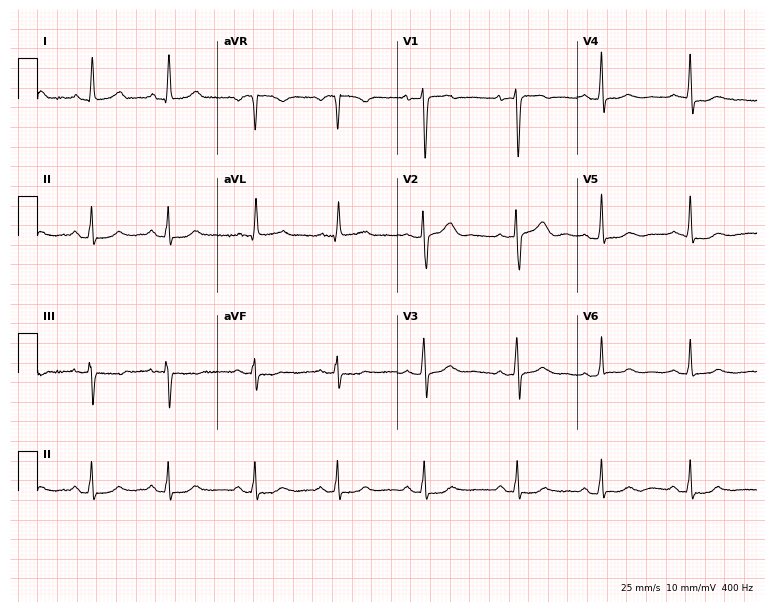
Electrocardiogram, a 40-year-old woman. Of the six screened findings (first-degree AV block, right bundle branch block (RBBB), left bundle branch block (LBBB), sinus bradycardia, atrial fibrillation (AF), sinus tachycardia), none is recorded.